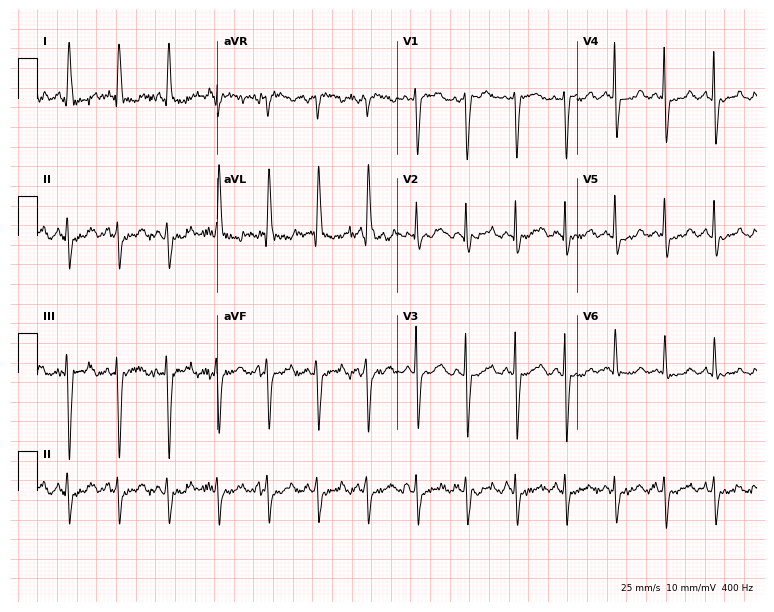
Resting 12-lead electrocardiogram. Patient: a woman, 69 years old. None of these six findings is recorded: first-degree AV block, right bundle branch block, left bundle branch block, sinus bradycardia, atrial fibrillation, sinus tachycardia.